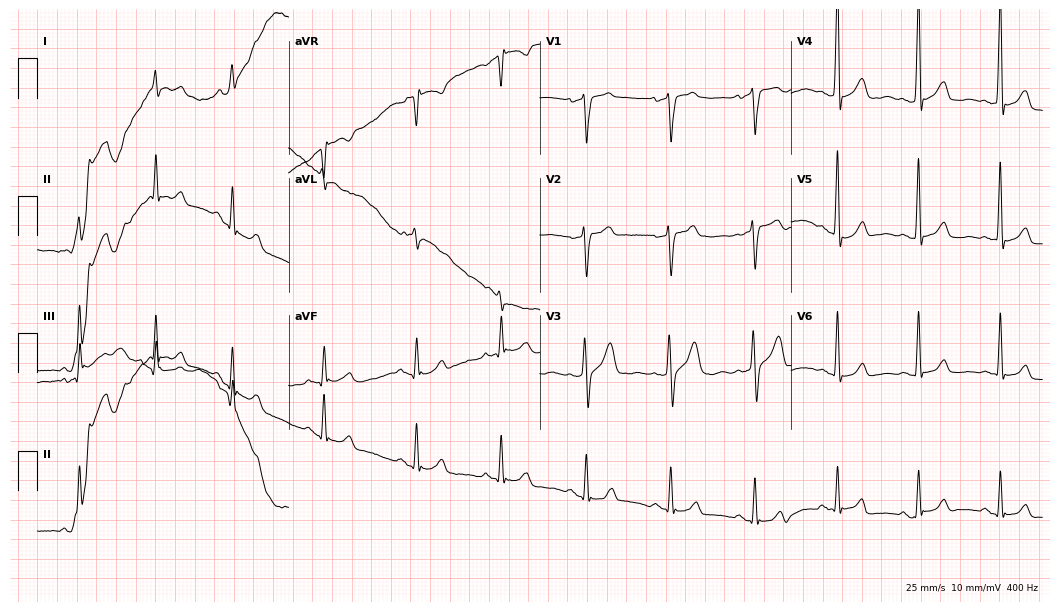
Resting 12-lead electrocardiogram. Patient: a 48-year-old male. None of these six findings is recorded: first-degree AV block, right bundle branch block, left bundle branch block, sinus bradycardia, atrial fibrillation, sinus tachycardia.